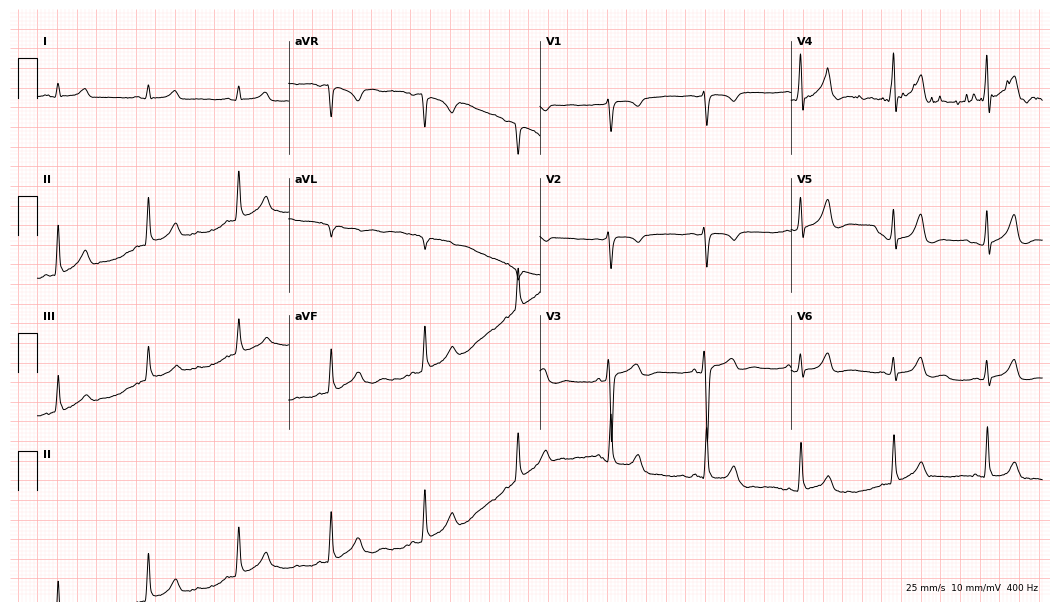
12-lead ECG from a male patient, 52 years old. Labelled as a normal ECG.